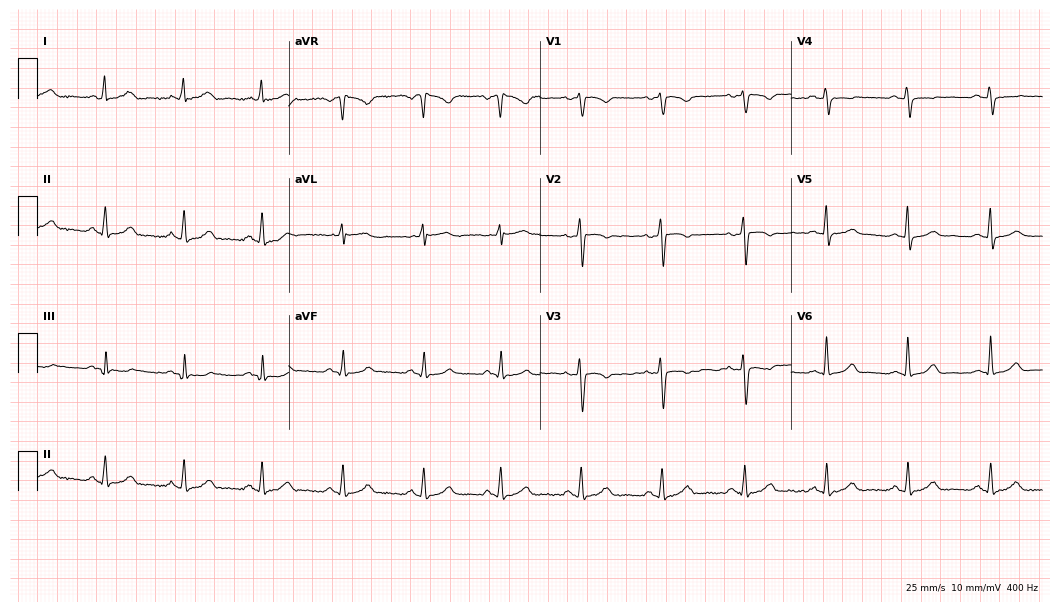
Electrocardiogram (10.2-second recording at 400 Hz), a 26-year-old female patient. Of the six screened findings (first-degree AV block, right bundle branch block, left bundle branch block, sinus bradycardia, atrial fibrillation, sinus tachycardia), none is recorded. Only these six findings were labelled.